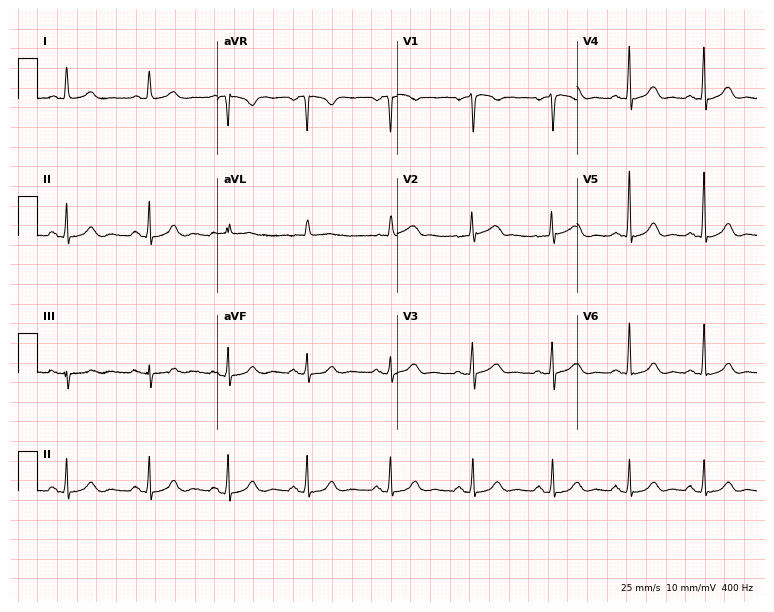
Electrocardiogram (7.3-second recording at 400 Hz), a woman, 63 years old. Of the six screened findings (first-degree AV block, right bundle branch block (RBBB), left bundle branch block (LBBB), sinus bradycardia, atrial fibrillation (AF), sinus tachycardia), none is recorded.